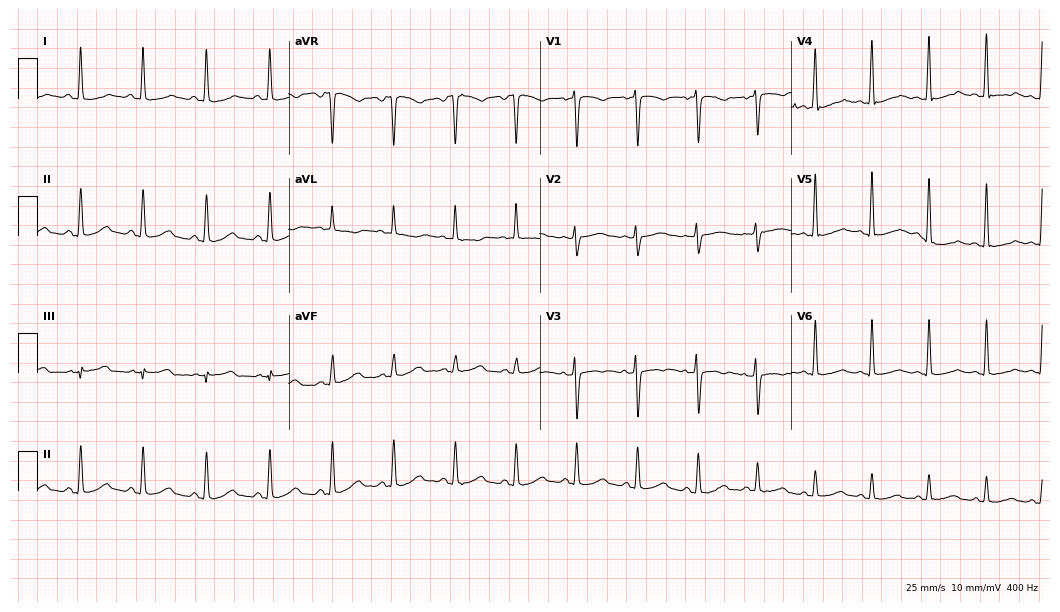
12-lead ECG from a 30-year-old female patient. No first-degree AV block, right bundle branch block, left bundle branch block, sinus bradycardia, atrial fibrillation or sinus tachycardia recorded for this tracing.